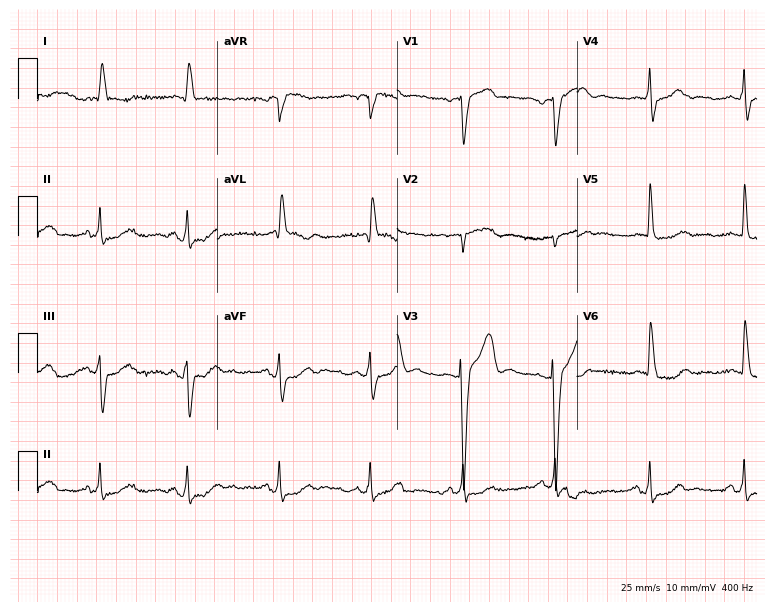
ECG — a male patient, 65 years old. Screened for six findings — first-degree AV block, right bundle branch block, left bundle branch block, sinus bradycardia, atrial fibrillation, sinus tachycardia — none is recorded. Only these six findings were labelled.